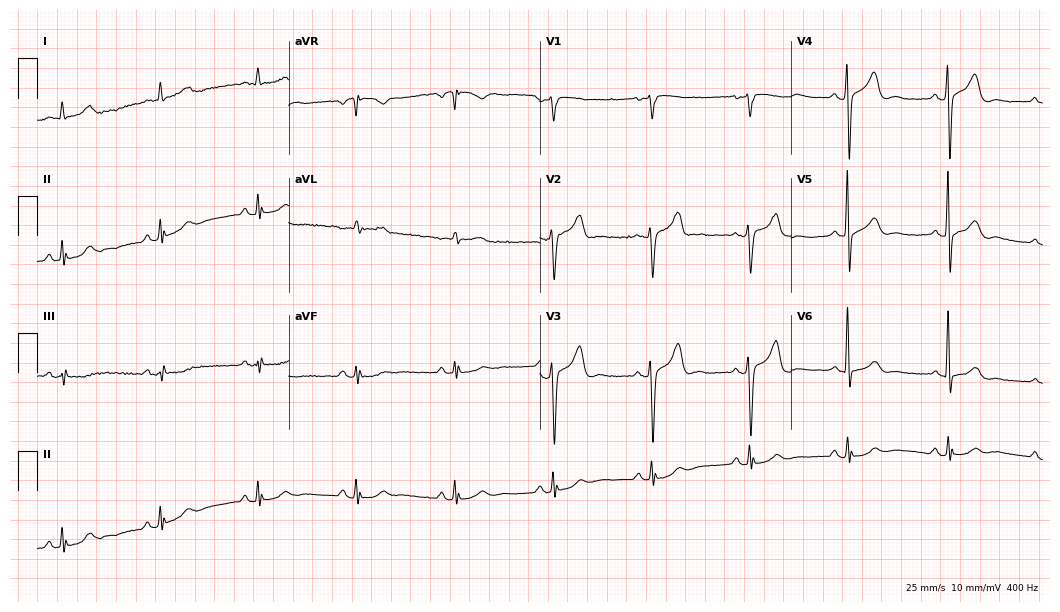
12-lead ECG from a 75-year-old man. Recorded interpretation: within normal limits.